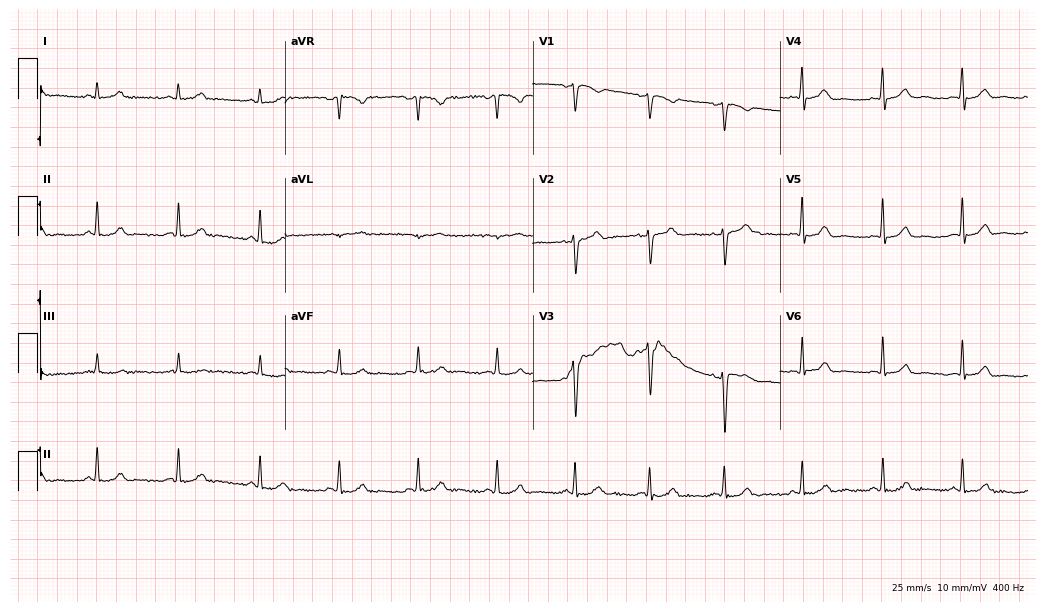
Standard 12-lead ECG recorded from a 39-year-old woman (10.1-second recording at 400 Hz). None of these six findings is recorded: first-degree AV block, right bundle branch block (RBBB), left bundle branch block (LBBB), sinus bradycardia, atrial fibrillation (AF), sinus tachycardia. Other findings, if any, are not listed.